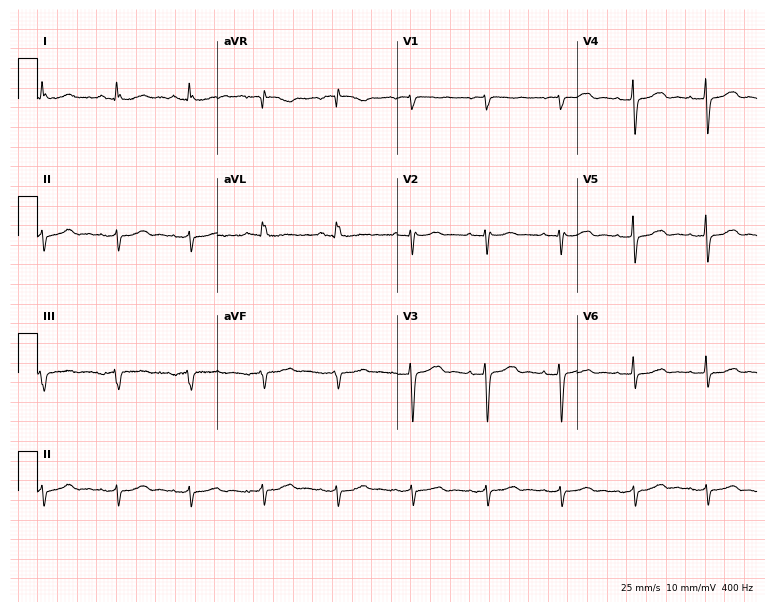
12-lead ECG (7.3-second recording at 400 Hz) from a female patient, 76 years old. Screened for six findings — first-degree AV block, right bundle branch block (RBBB), left bundle branch block (LBBB), sinus bradycardia, atrial fibrillation (AF), sinus tachycardia — none is recorded.